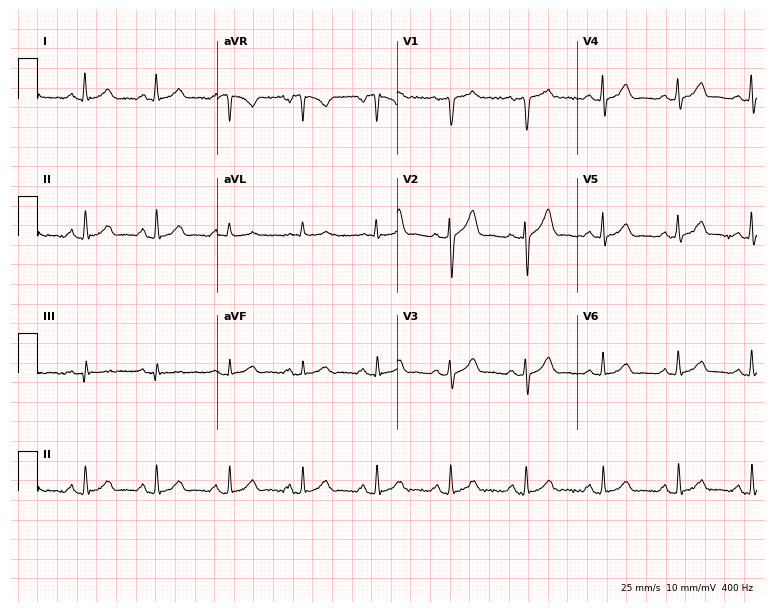
12-lead ECG from a 54-year-old woman. Labelled as a normal ECG.